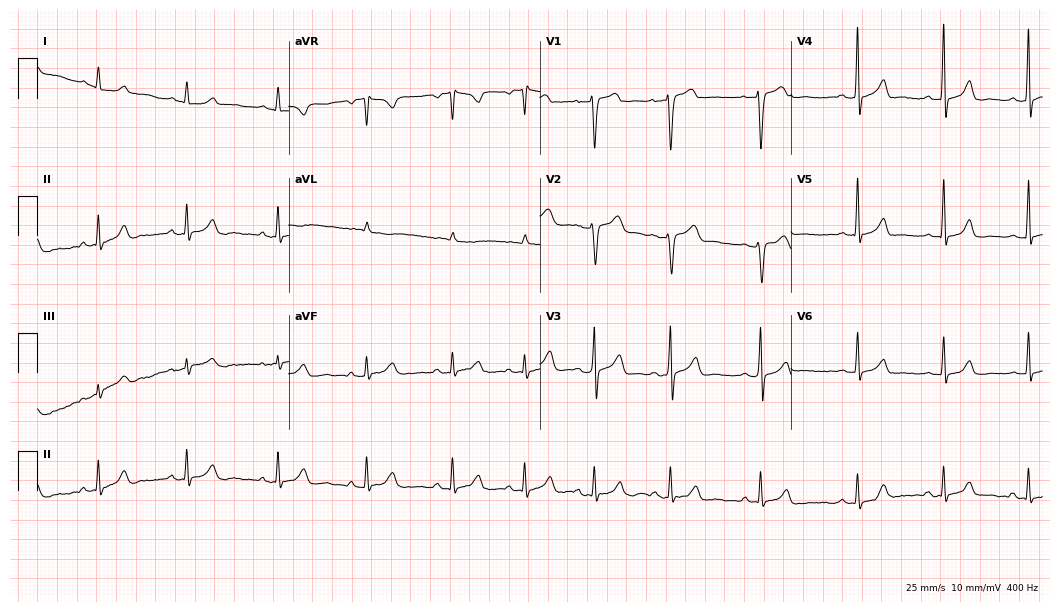
ECG (10.2-second recording at 400 Hz) — a 26-year-old male patient. Labelled as a normal ECG.